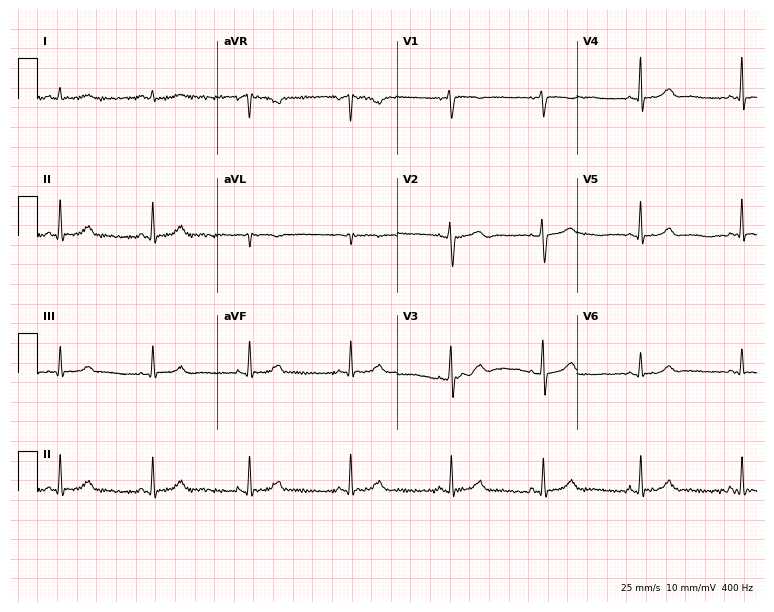
Resting 12-lead electrocardiogram. Patient: a 24-year-old female. None of these six findings is recorded: first-degree AV block, right bundle branch block (RBBB), left bundle branch block (LBBB), sinus bradycardia, atrial fibrillation (AF), sinus tachycardia. Findings outside these six are not listed.